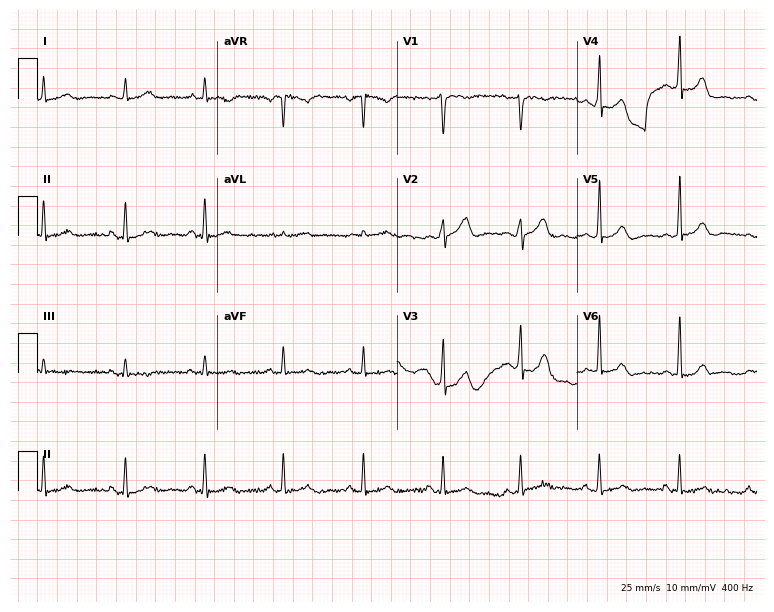
Standard 12-lead ECG recorded from a male patient, 33 years old (7.3-second recording at 400 Hz). None of these six findings is recorded: first-degree AV block, right bundle branch block (RBBB), left bundle branch block (LBBB), sinus bradycardia, atrial fibrillation (AF), sinus tachycardia. Findings outside these six are not listed.